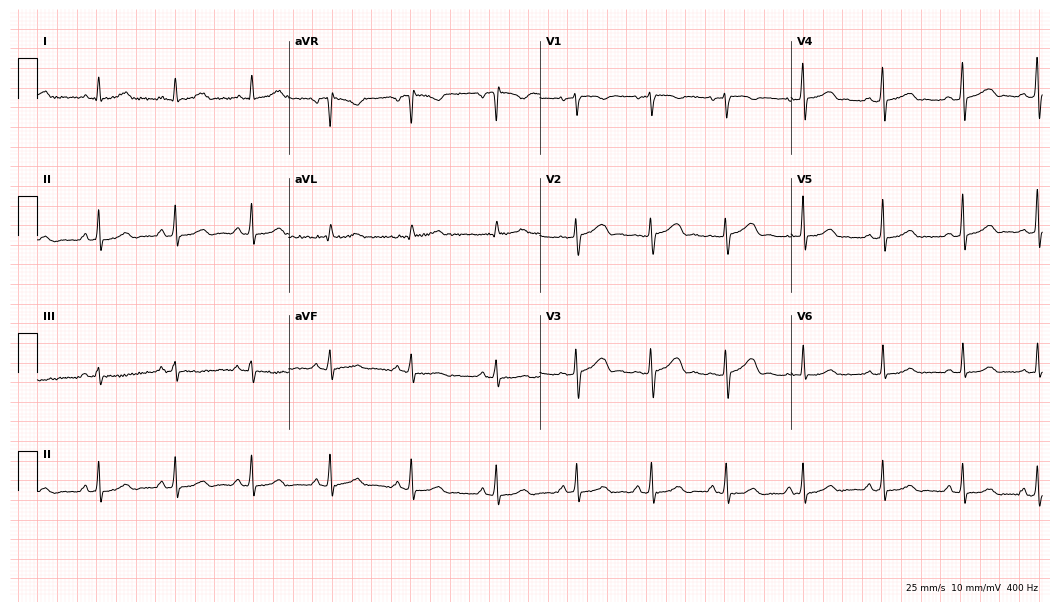
Standard 12-lead ECG recorded from a female patient, 25 years old. None of these six findings is recorded: first-degree AV block, right bundle branch block (RBBB), left bundle branch block (LBBB), sinus bradycardia, atrial fibrillation (AF), sinus tachycardia. Only these six findings were labelled.